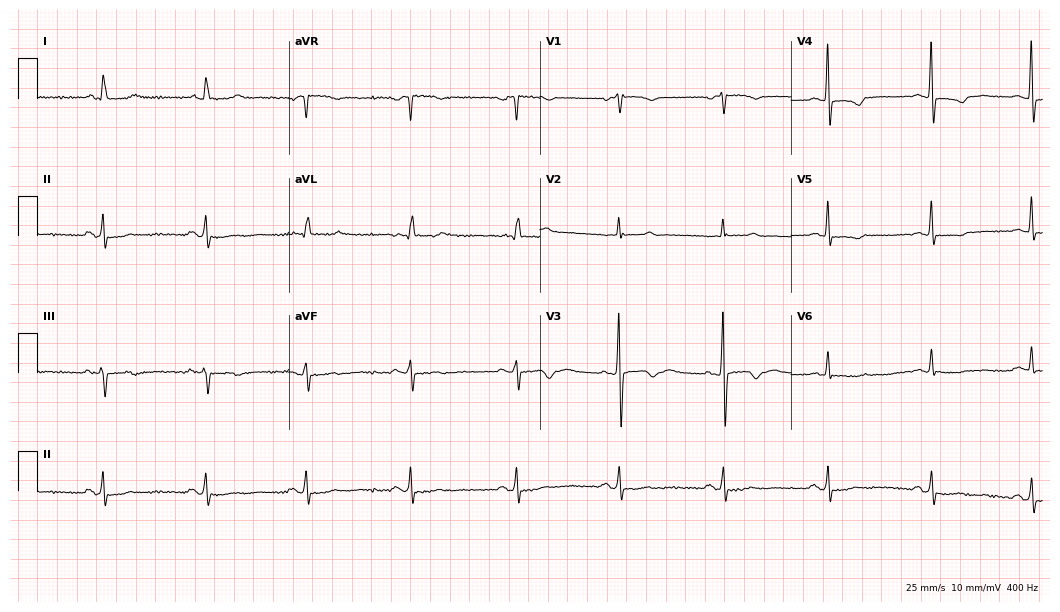
Resting 12-lead electrocardiogram. Patient: a 69-year-old woman. Read as a normal ECG.